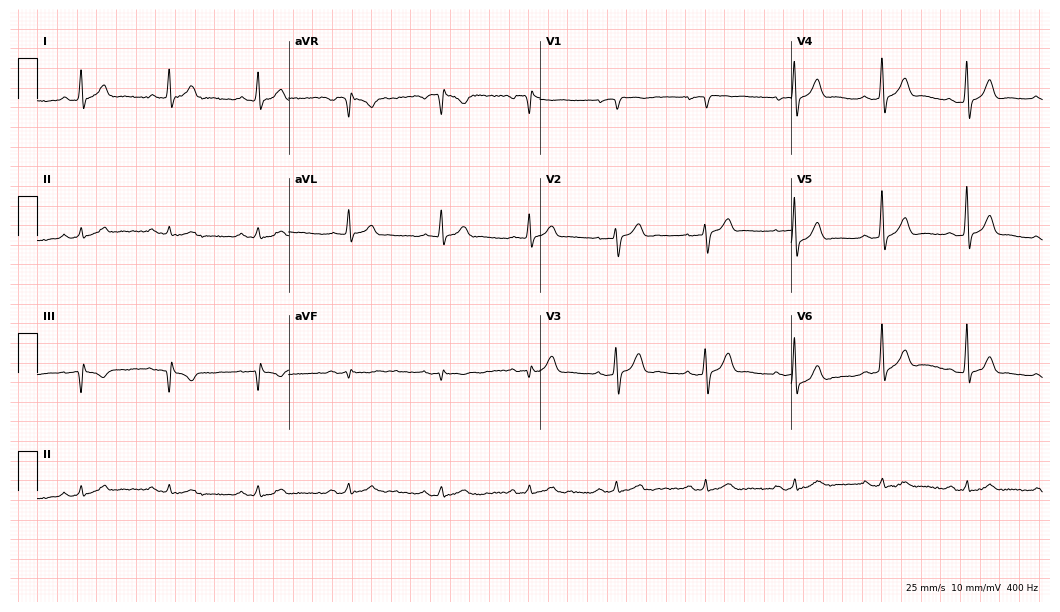
ECG — a man, 51 years old. Labelled as a normal ECG.